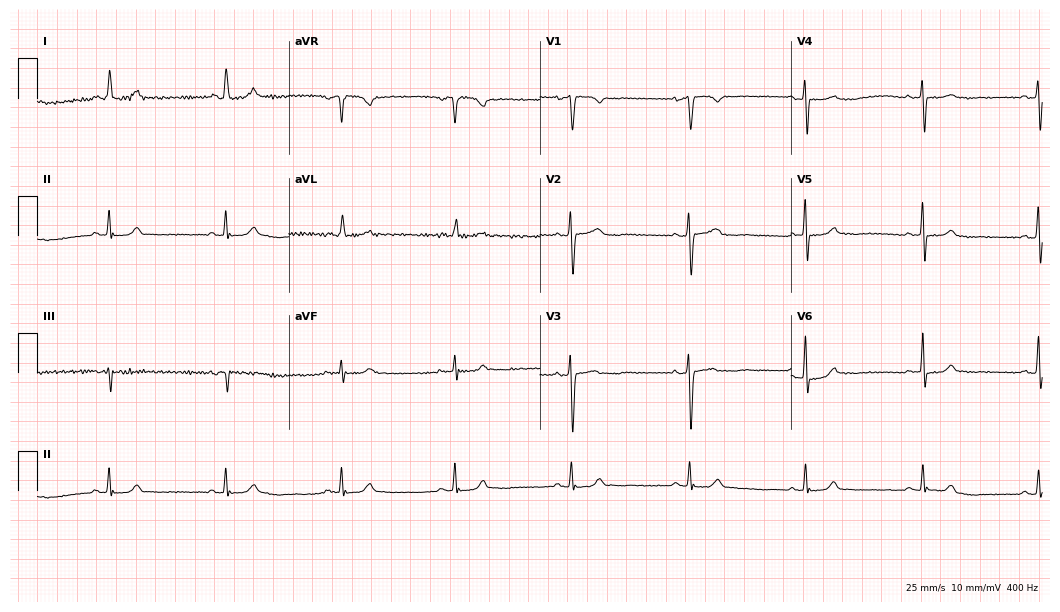
12-lead ECG from a woman, 62 years old. Recorded interpretation: within normal limits.